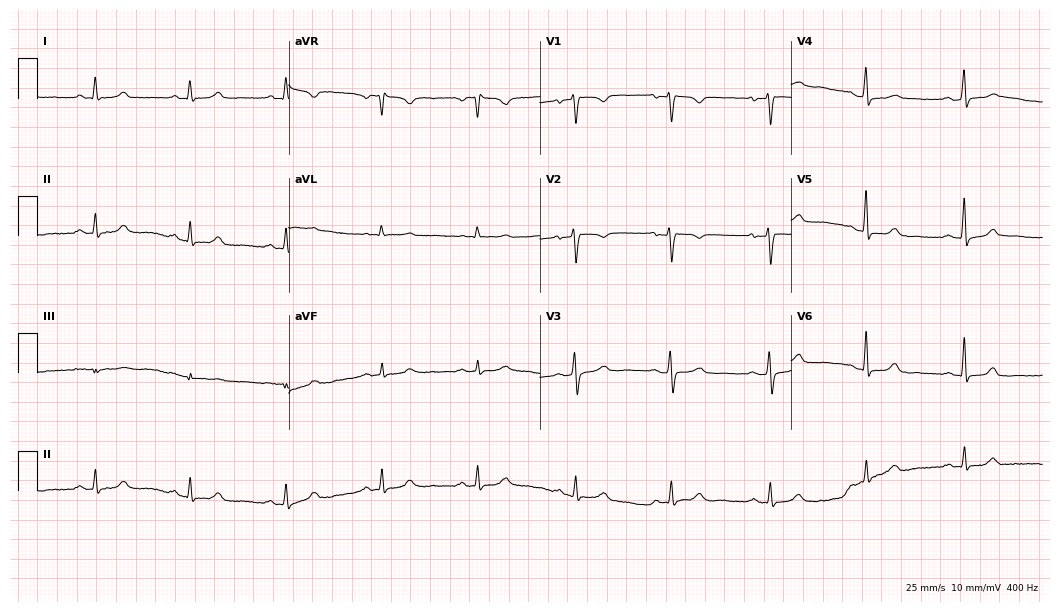
ECG — a 44-year-old female. Screened for six findings — first-degree AV block, right bundle branch block (RBBB), left bundle branch block (LBBB), sinus bradycardia, atrial fibrillation (AF), sinus tachycardia — none is recorded. Findings outside these six are not listed.